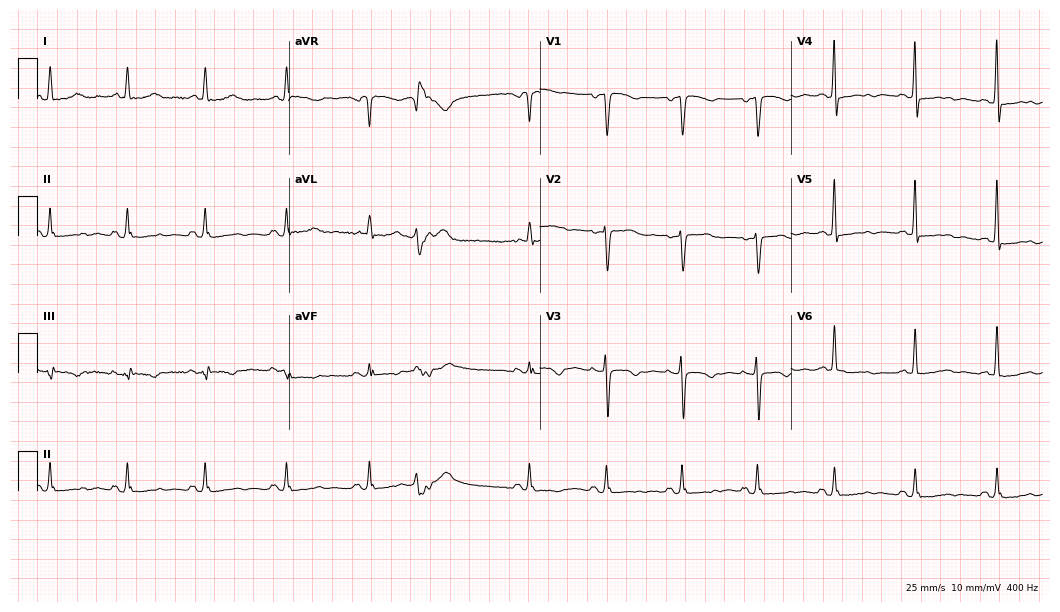
Resting 12-lead electrocardiogram. Patient: a female, 68 years old. None of these six findings is recorded: first-degree AV block, right bundle branch block, left bundle branch block, sinus bradycardia, atrial fibrillation, sinus tachycardia. Other findings, if any, are not listed.